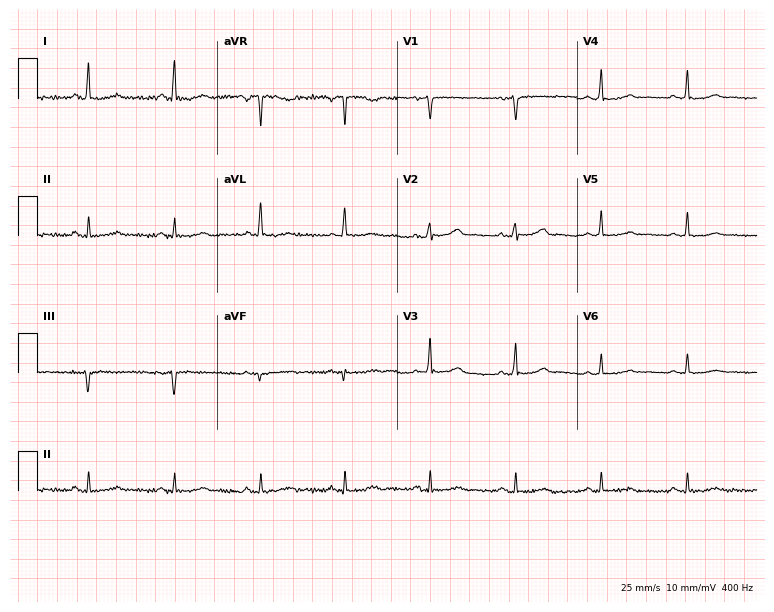
Electrocardiogram, a 58-year-old female patient. Overall reading on record: normal ECG.